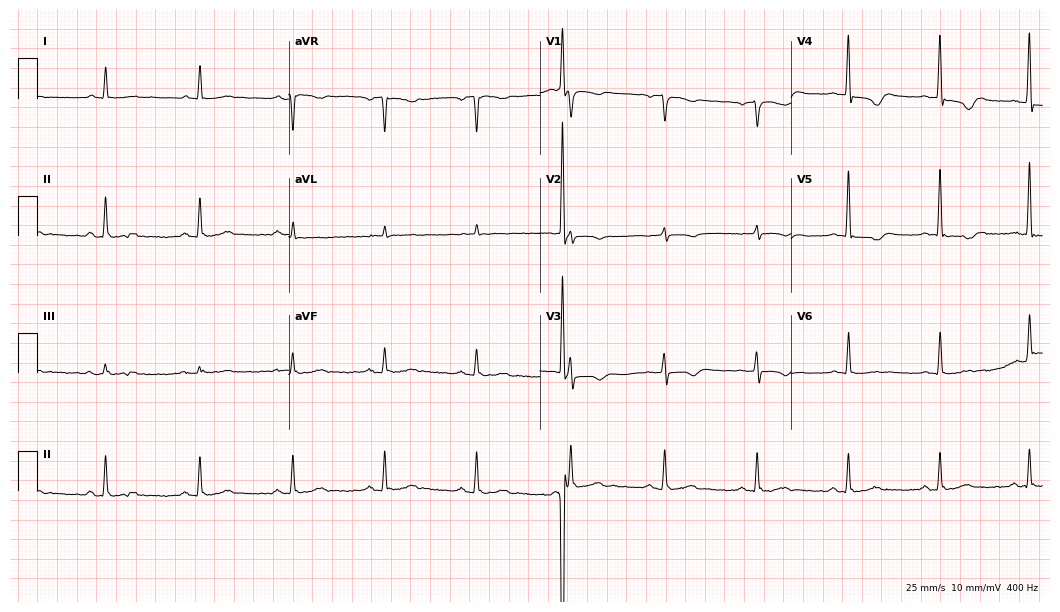
Standard 12-lead ECG recorded from a male, 61 years old (10.2-second recording at 400 Hz). None of these six findings is recorded: first-degree AV block, right bundle branch block (RBBB), left bundle branch block (LBBB), sinus bradycardia, atrial fibrillation (AF), sinus tachycardia. Only these six findings were labelled.